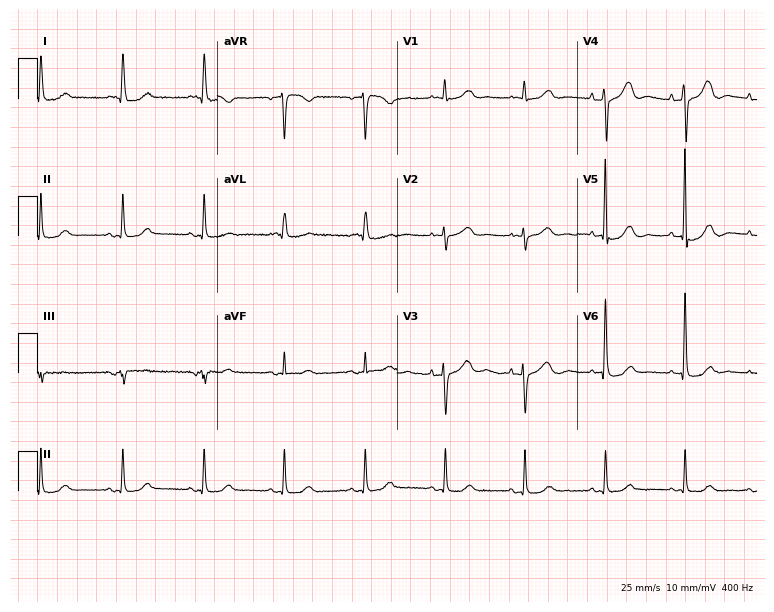
Resting 12-lead electrocardiogram. Patient: a 78-year-old female. None of these six findings is recorded: first-degree AV block, right bundle branch block (RBBB), left bundle branch block (LBBB), sinus bradycardia, atrial fibrillation (AF), sinus tachycardia. Only these six findings were labelled.